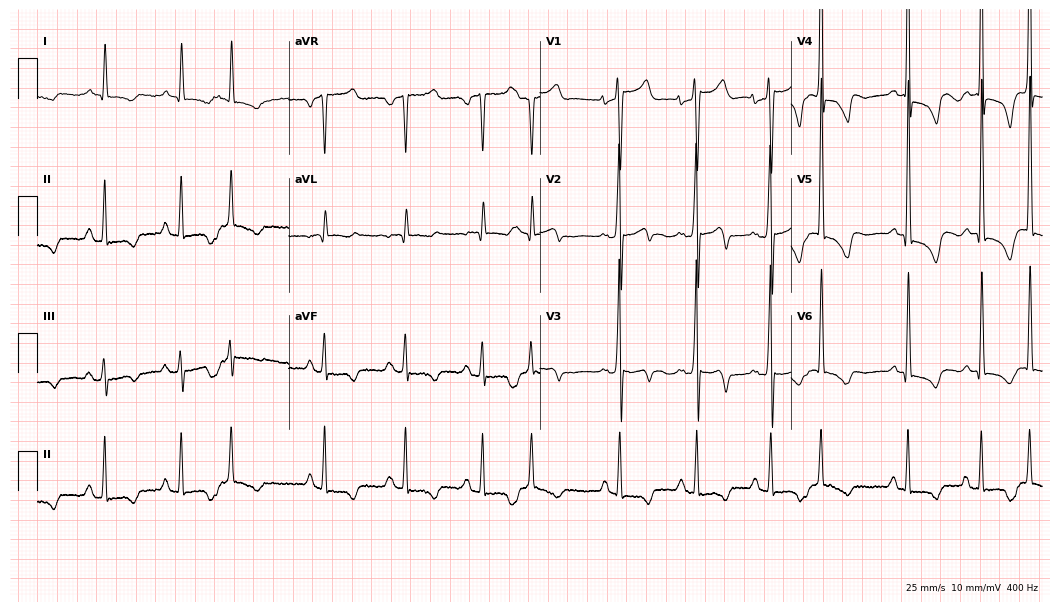
12-lead ECG (10.2-second recording at 400 Hz) from a 72-year-old man. Screened for six findings — first-degree AV block, right bundle branch block, left bundle branch block, sinus bradycardia, atrial fibrillation, sinus tachycardia — none is recorded. Findings outside these six are not listed.